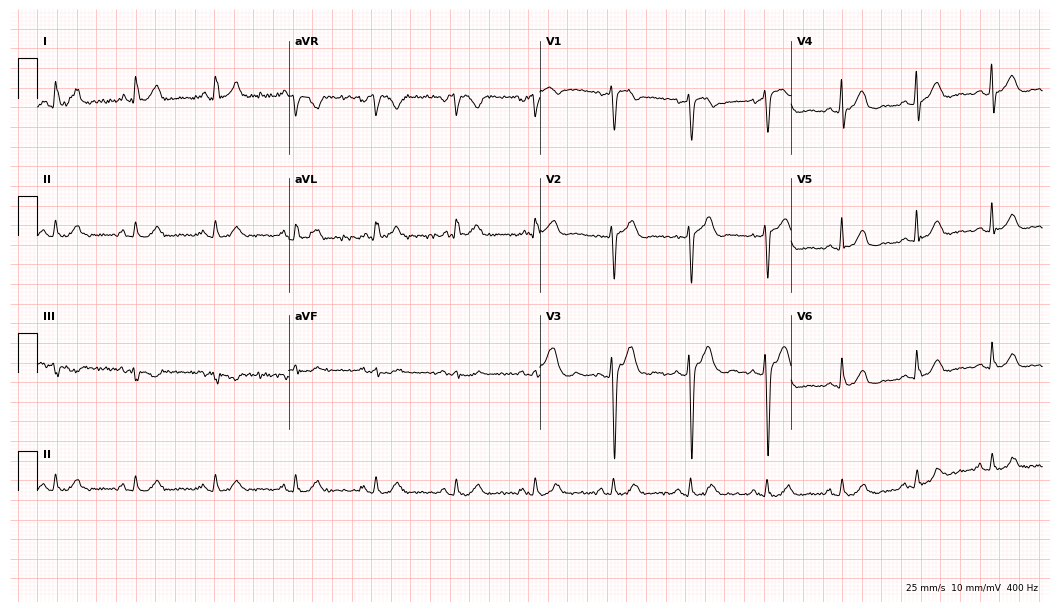
Electrocardiogram, a 51-year-old male patient. Overall reading on record: normal ECG.